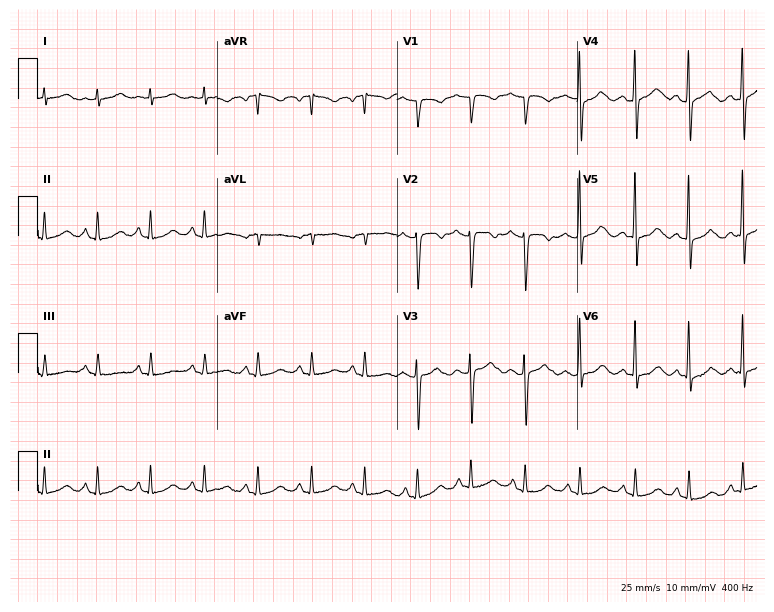
Resting 12-lead electrocardiogram (7.3-second recording at 400 Hz). Patient: a 49-year-old female. None of these six findings is recorded: first-degree AV block, right bundle branch block, left bundle branch block, sinus bradycardia, atrial fibrillation, sinus tachycardia. Other findings, if any, are not listed.